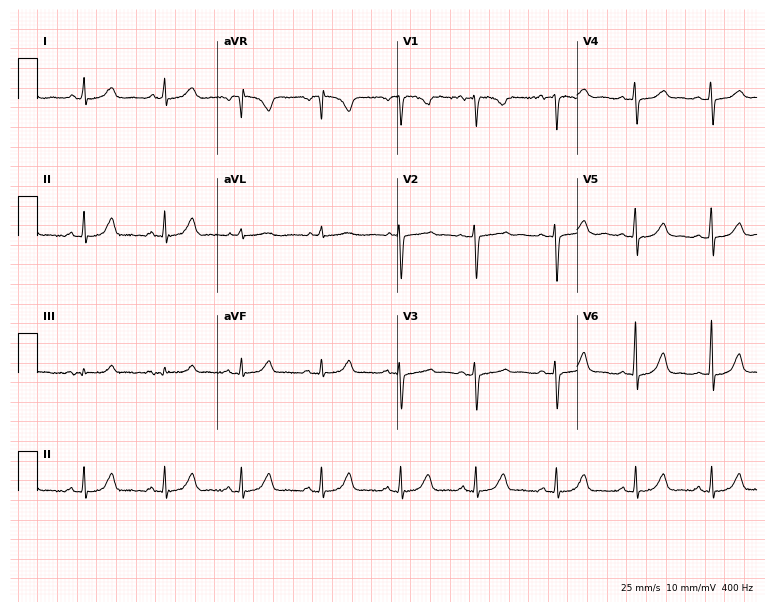
ECG (7.3-second recording at 400 Hz) — a 37-year-old woman. Labelled as a normal ECG.